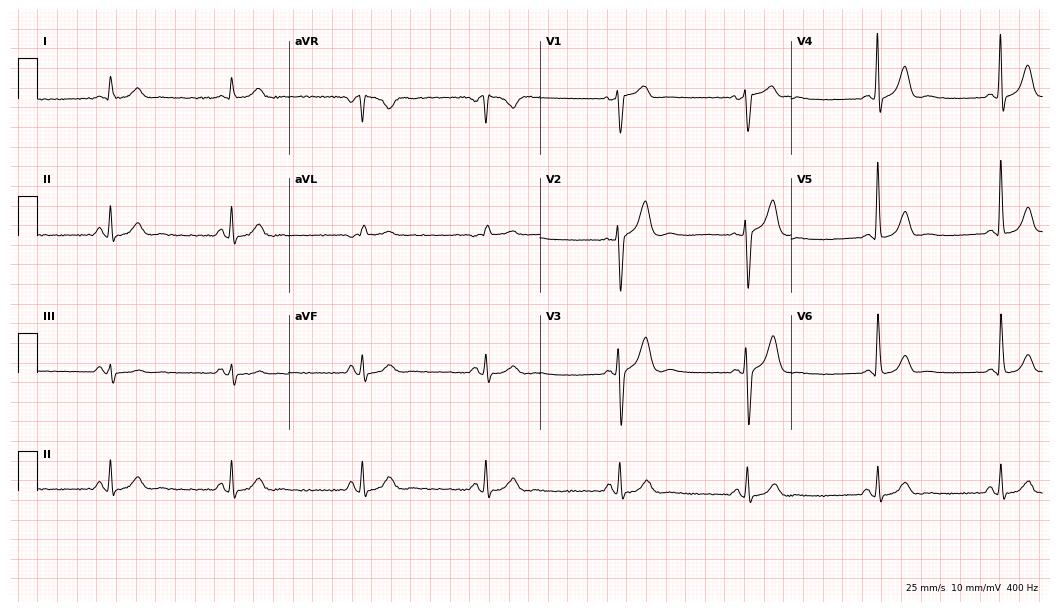
ECG — a man, 72 years old. Findings include sinus bradycardia (a sinus rate of 50 beats per minute or less).